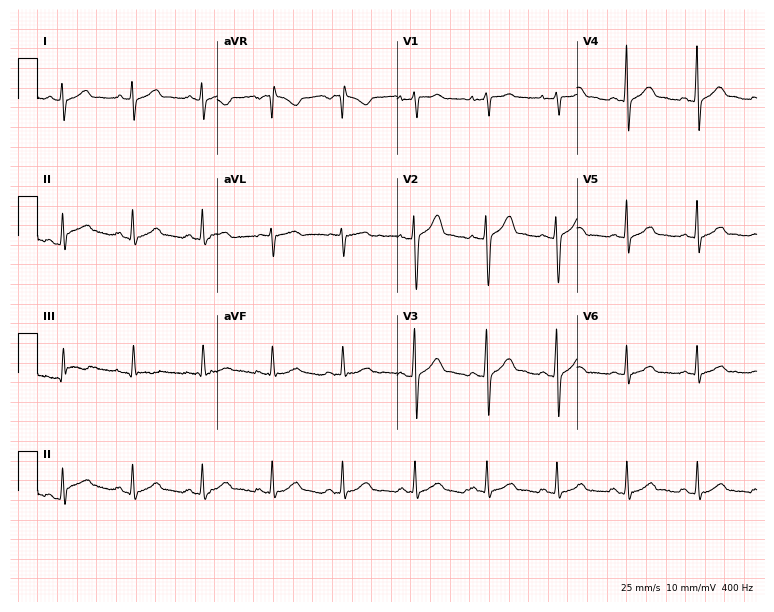
Resting 12-lead electrocardiogram. Patient: a 49-year-old male. None of these six findings is recorded: first-degree AV block, right bundle branch block (RBBB), left bundle branch block (LBBB), sinus bradycardia, atrial fibrillation (AF), sinus tachycardia. Only these six findings were labelled.